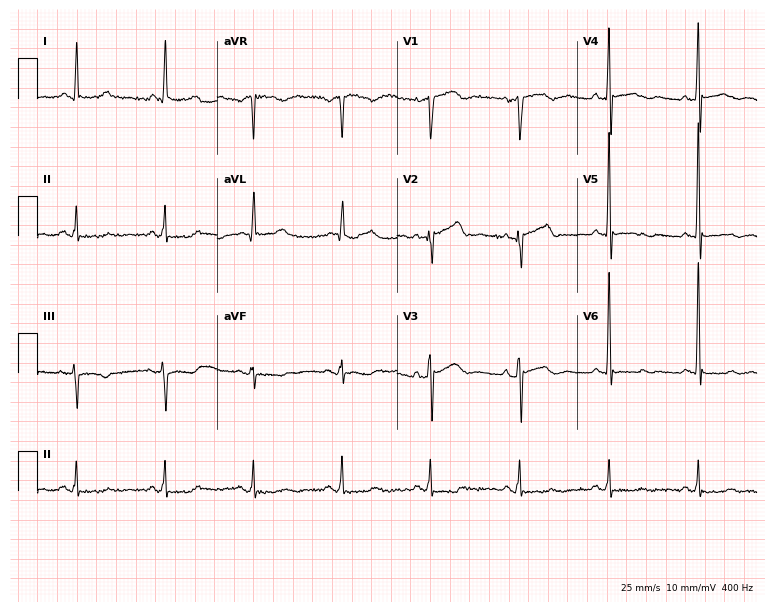
ECG — a man, 80 years old. Screened for six findings — first-degree AV block, right bundle branch block, left bundle branch block, sinus bradycardia, atrial fibrillation, sinus tachycardia — none is recorded. Only these six findings were labelled.